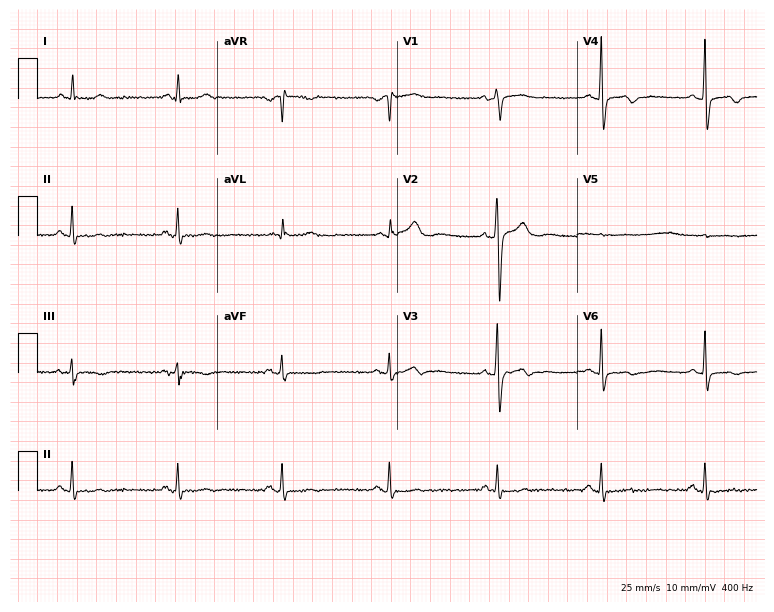
ECG — a woman, 69 years old. Screened for six findings — first-degree AV block, right bundle branch block, left bundle branch block, sinus bradycardia, atrial fibrillation, sinus tachycardia — none is recorded.